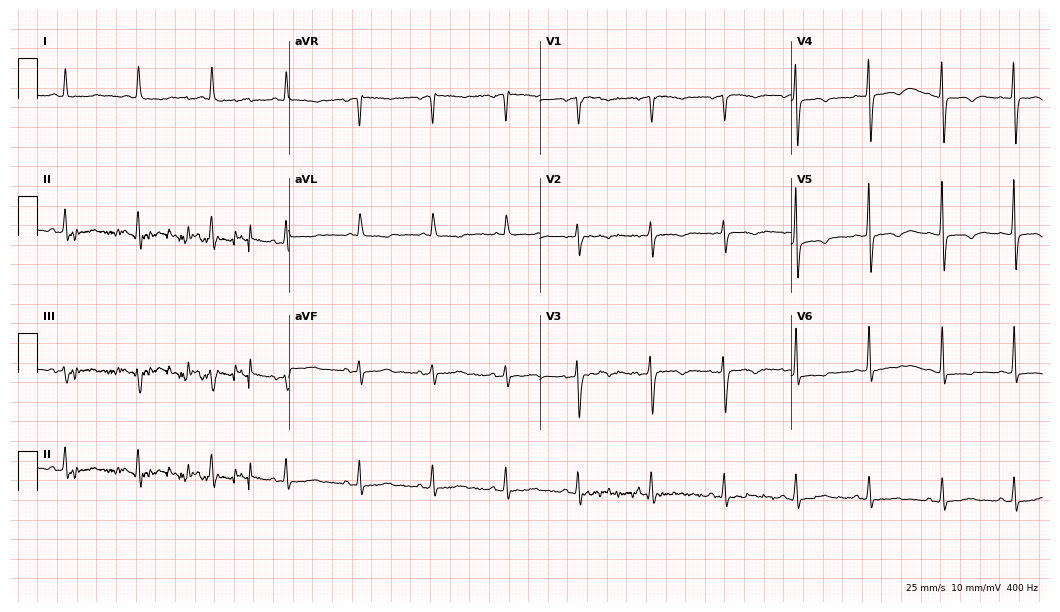
Resting 12-lead electrocardiogram (10.2-second recording at 400 Hz). Patient: a female, 76 years old. None of these six findings is recorded: first-degree AV block, right bundle branch block, left bundle branch block, sinus bradycardia, atrial fibrillation, sinus tachycardia.